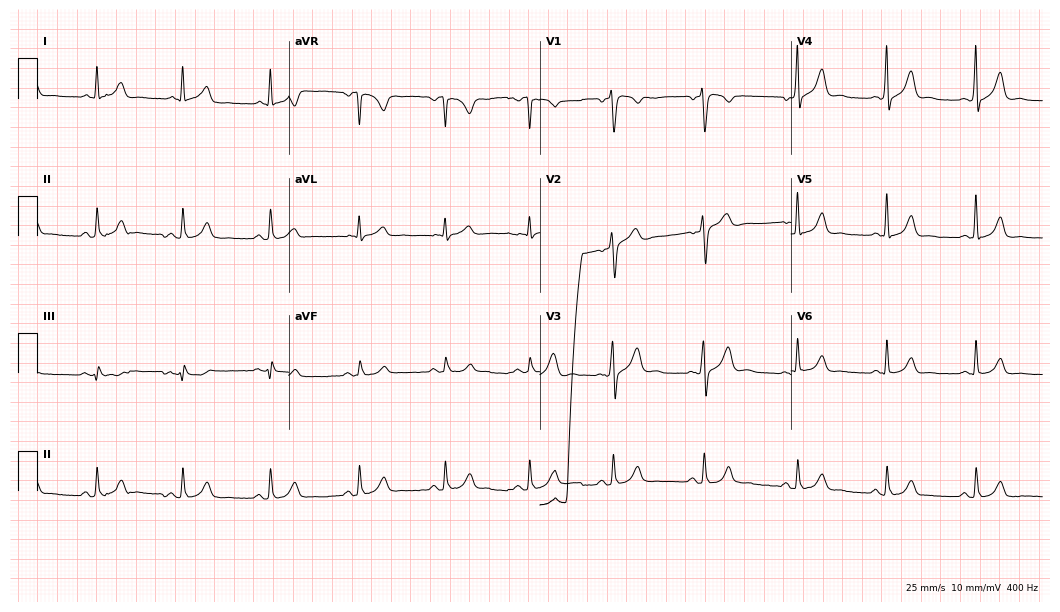
Electrocardiogram (10.2-second recording at 400 Hz), a 42-year-old man. Of the six screened findings (first-degree AV block, right bundle branch block (RBBB), left bundle branch block (LBBB), sinus bradycardia, atrial fibrillation (AF), sinus tachycardia), none is recorded.